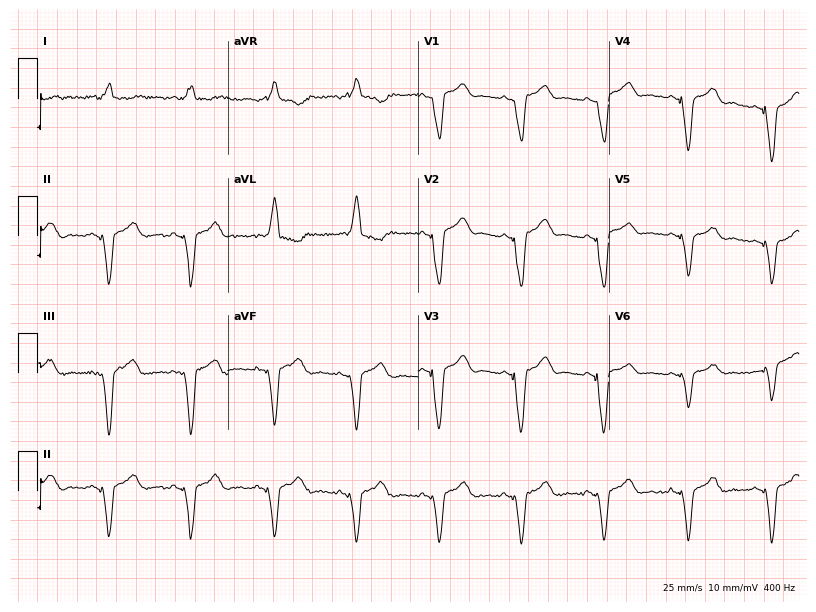
Electrocardiogram, a 75-year-old female. Interpretation includes left bundle branch block.